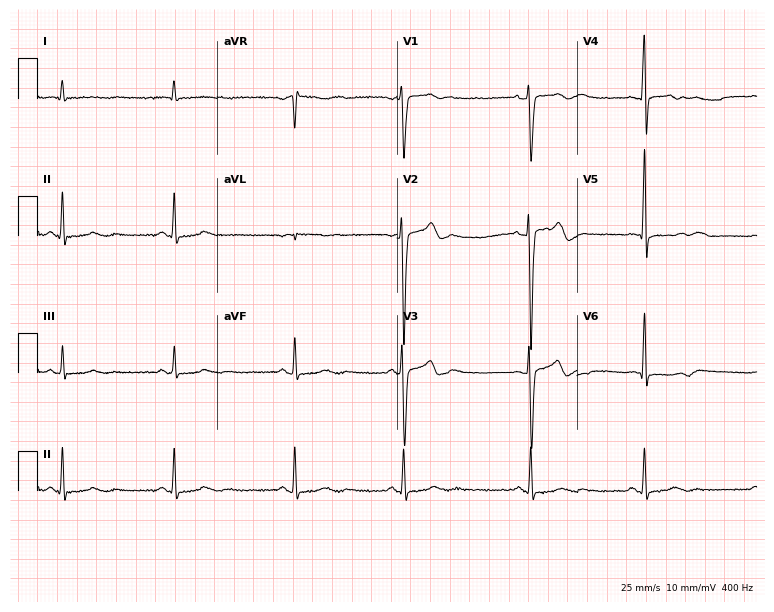
Standard 12-lead ECG recorded from a male, 38 years old. None of these six findings is recorded: first-degree AV block, right bundle branch block (RBBB), left bundle branch block (LBBB), sinus bradycardia, atrial fibrillation (AF), sinus tachycardia. Other findings, if any, are not listed.